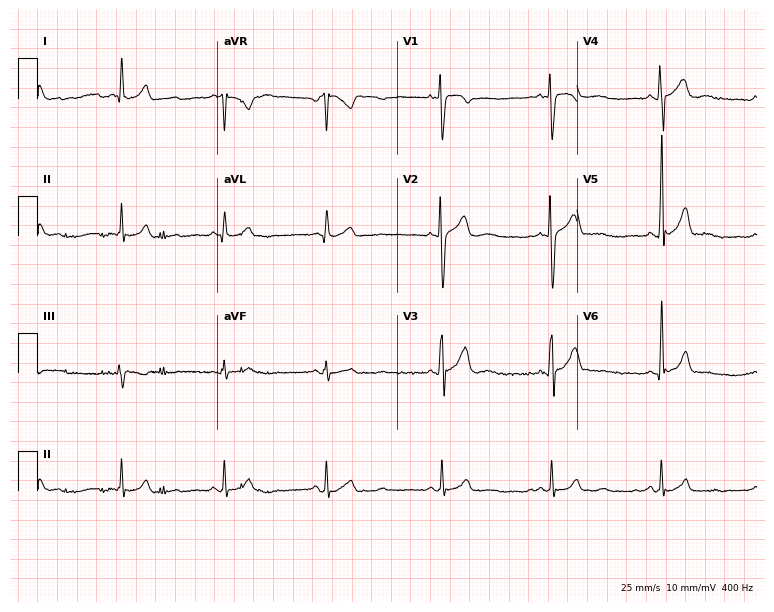
Resting 12-lead electrocardiogram (7.3-second recording at 400 Hz). Patient: a 19-year-old male. Read as a normal ECG.